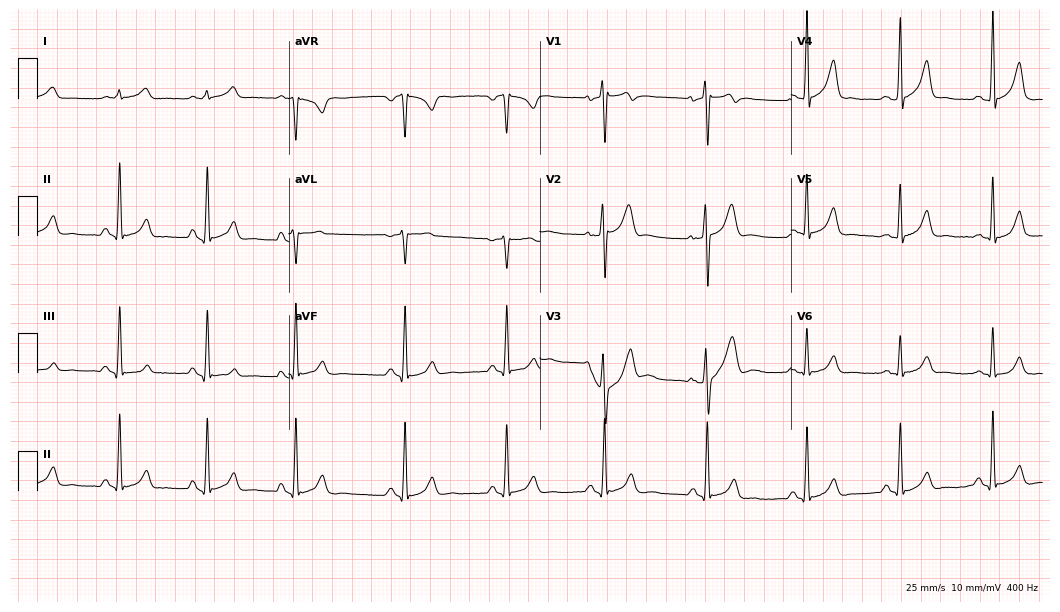
Resting 12-lead electrocardiogram. Patient: a man, 39 years old. Read as a normal ECG.